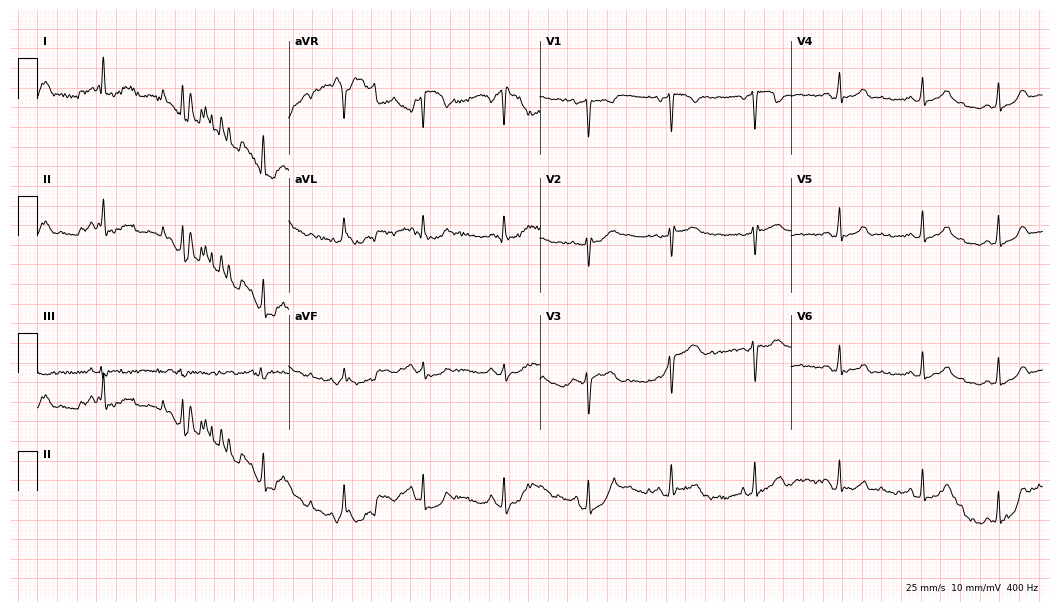
Electrocardiogram, a female, 37 years old. Of the six screened findings (first-degree AV block, right bundle branch block (RBBB), left bundle branch block (LBBB), sinus bradycardia, atrial fibrillation (AF), sinus tachycardia), none is recorded. Only these six findings were labelled.